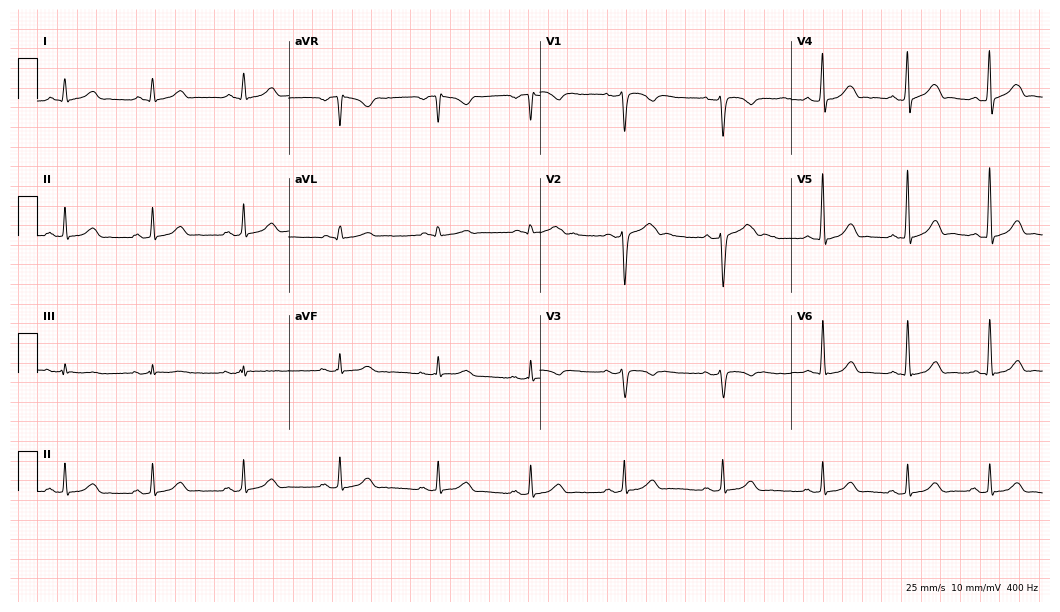
12-lead ECG from a male, 33 years old (10.2-second recording at 400 Hz). No first-degree AV block, right bundle branch block, left bundle branch block, sinus bradycardia, atrial fibrillation or sinus tachycardia recorded for this tracing. Only these six findings were labelled.